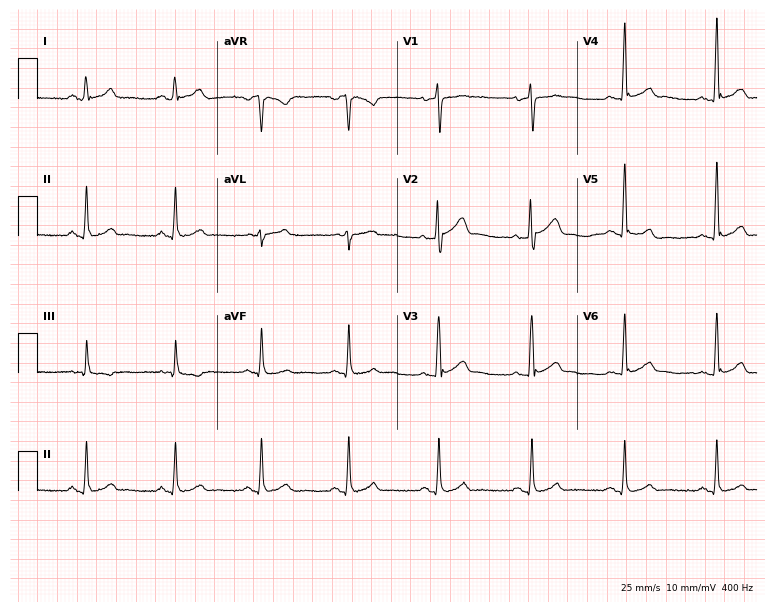
ECG — a 44-year-old male. Labelled as a normal ECG.